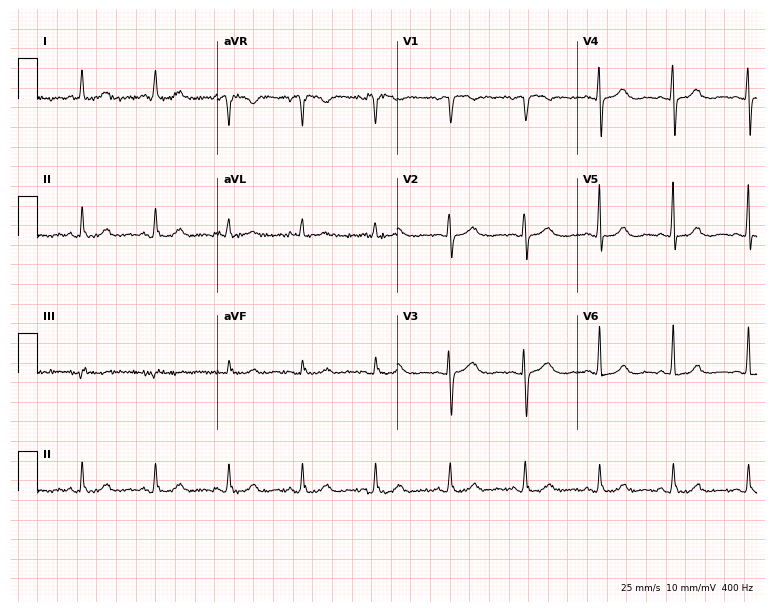
Electrocardiogram, a 73-year-old female. Overall reading on record: normal ECG.